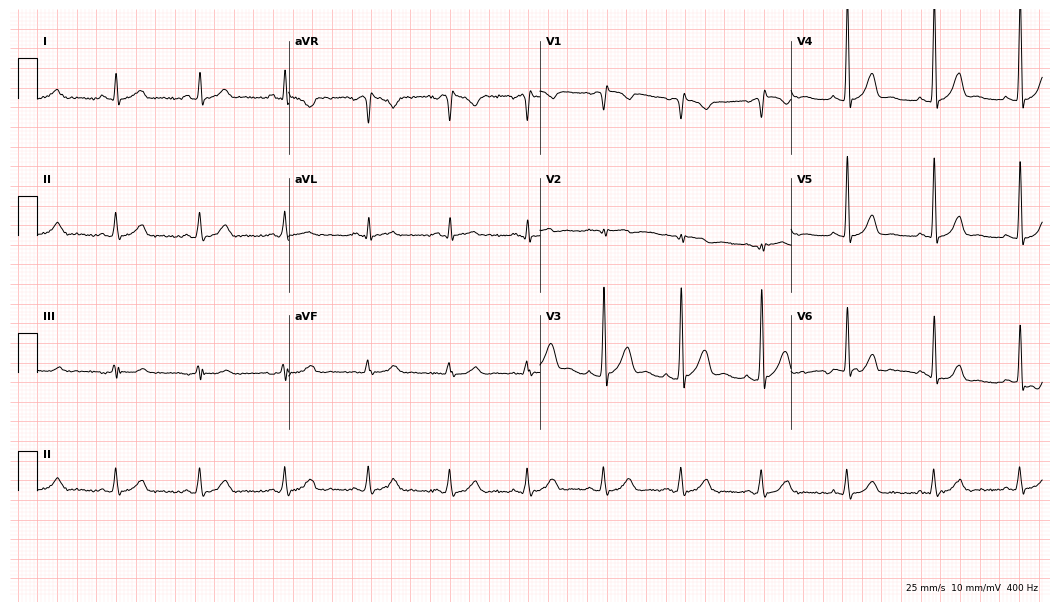
12-lead ECG from a male patient, 45 years old. Recorded interpretation: within normal limits.